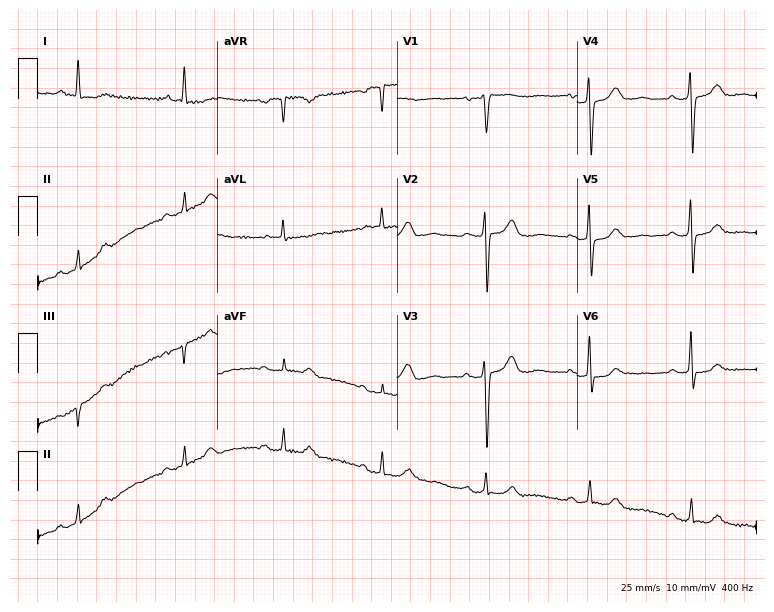
ECG — a woman, 66 years old. Screened for six findings — first-degree AV block, right bundle branch block (RBBB), left bundle branch block (LBBB), sinus bradycardia, atrial fibrillation (AF), sinus tachycardia — none is recorded. Other findings, if any, are not listed.